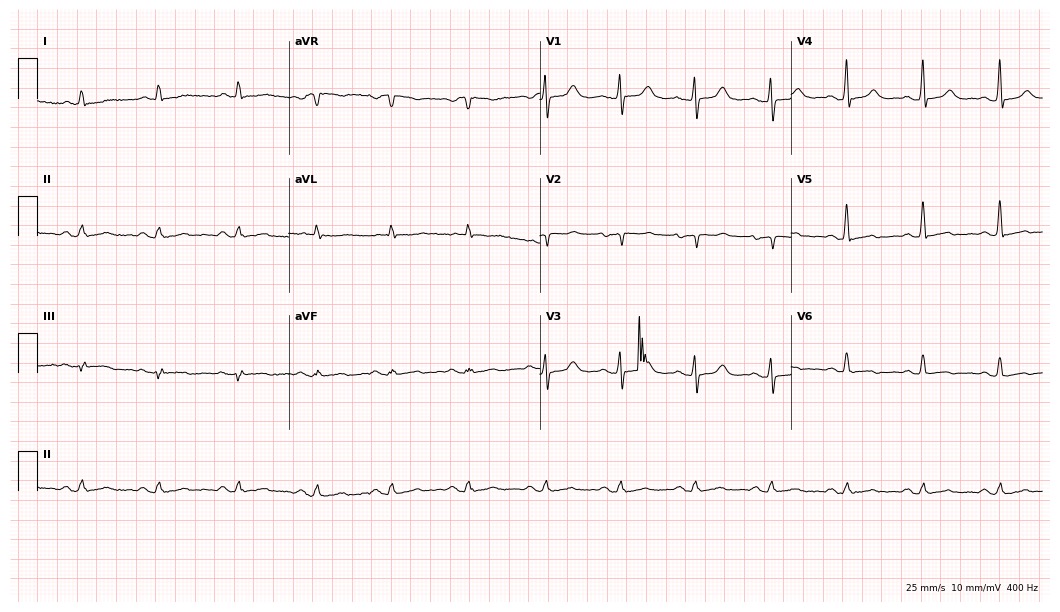
Standard 12-lead ECG recorded from a female, 46 years old (10.2-second recording at 400 Hz). None of these six findings is recorded: first-degree AV block, right bundle branch block, left bundle branch block, sinus bradycardia, atrial fibrillation, sinus tachycardia.